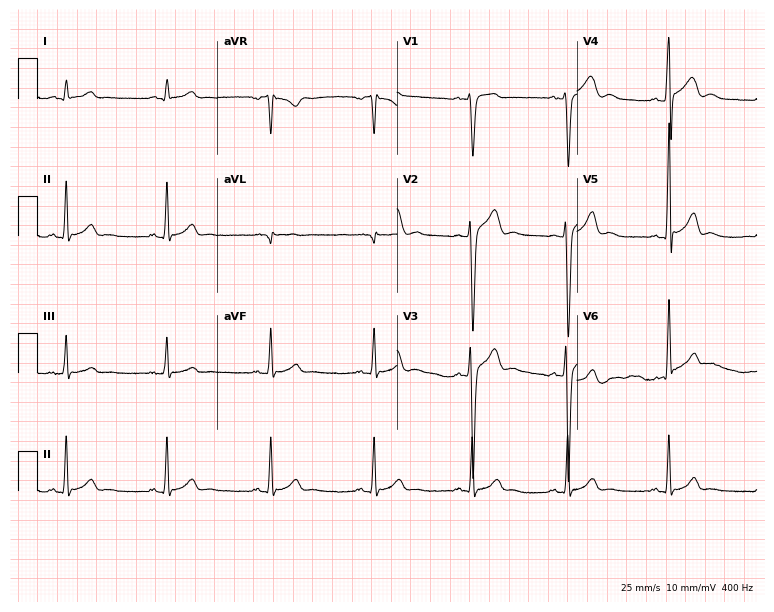
Resting 12-lead electrocardiogram. Patient: a male, 24 years old. Read as a normal ECG.